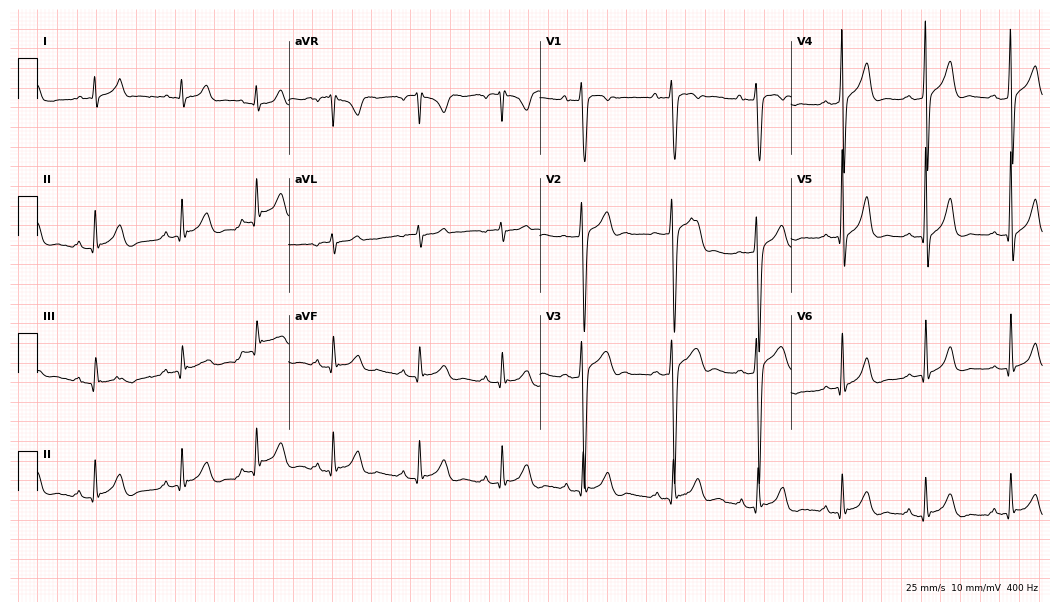
Electrocardiogram (10.2-second recording at 400 Hz), a female patient, 18 years old. Overall reading on record: normal ECG.